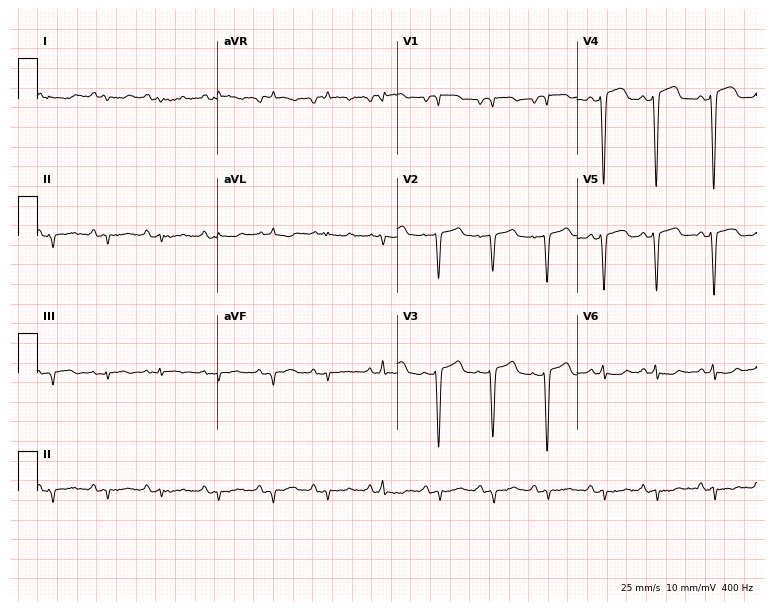
Resting 12-lead electrocardiogram. Patient: an 85-year-old female. The tracing shows sinus tachycardia (a sinus rate of 100 beats per minute or more).